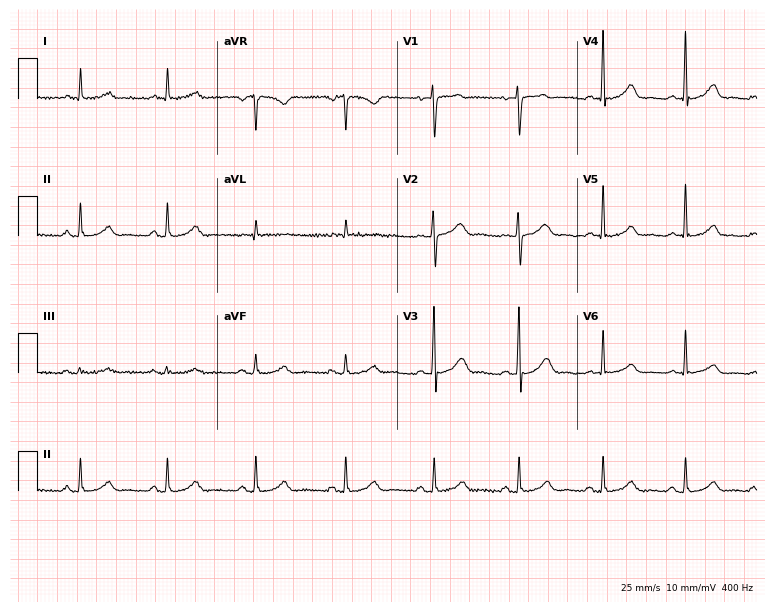
Resting 12-lead electrocardiogram (7.3-second recording at 400 Hz). Patient: a 50-year-old female. Read as a normal ECG.